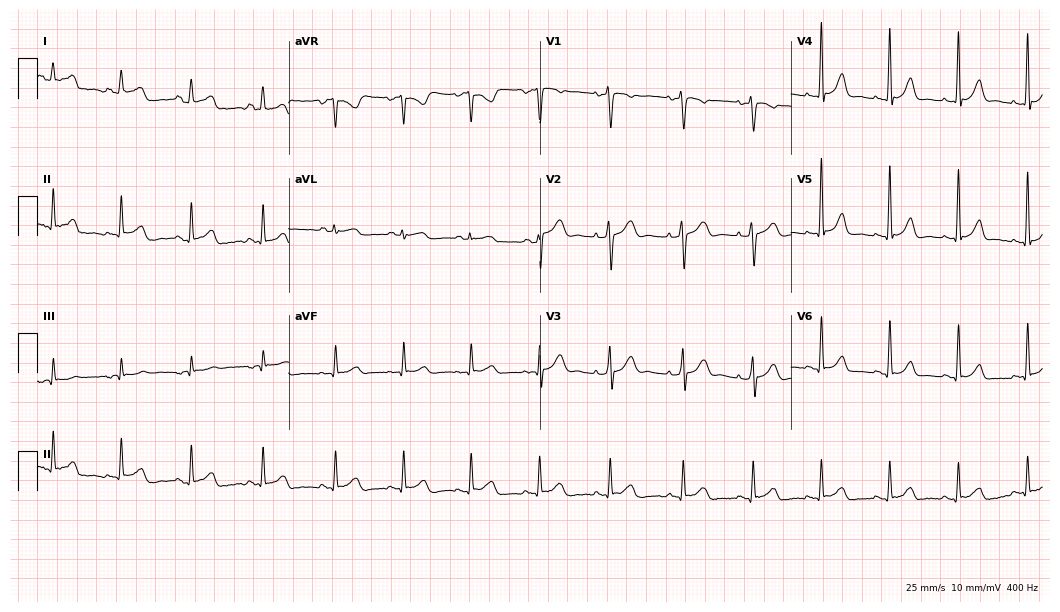
Standard 12-lead ECG recorded from a female patient, 40 years old (10.2-second recording at 400 Hz). None of these six findings is recorded: first-degree AV block, right bundle branch block (RBBB), left bundle branch block (LBBB), sinus bradycardia, atrial fibrillation (AF), sinus tachycardia.